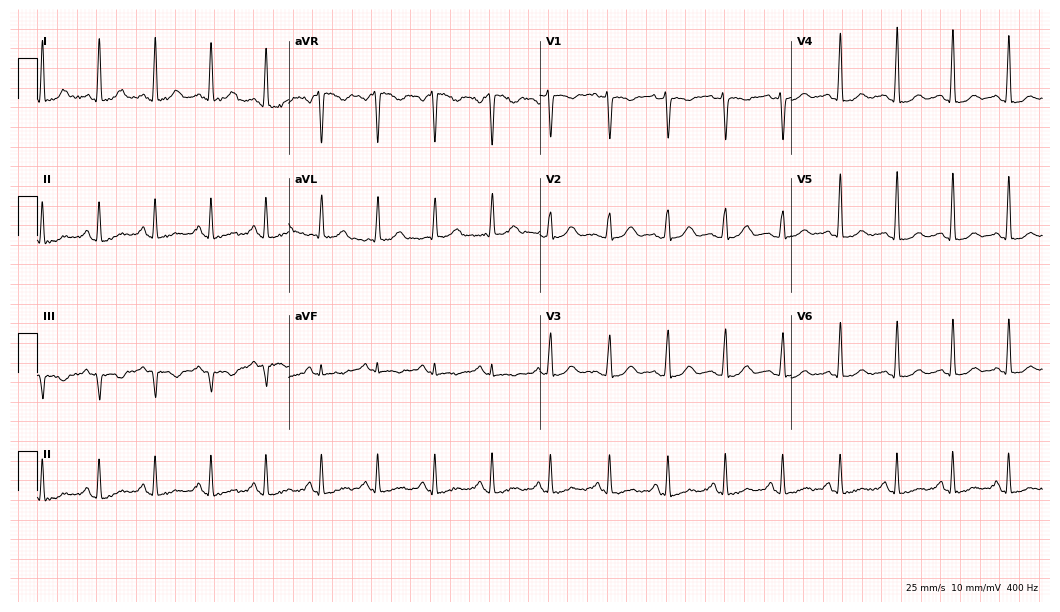
12-lead ECG (10.2-second recording at 400 Hz) from a 44-year-old female patient. Findings include sinus tachycardia (a sinus rate of 100 beats per minute or more).